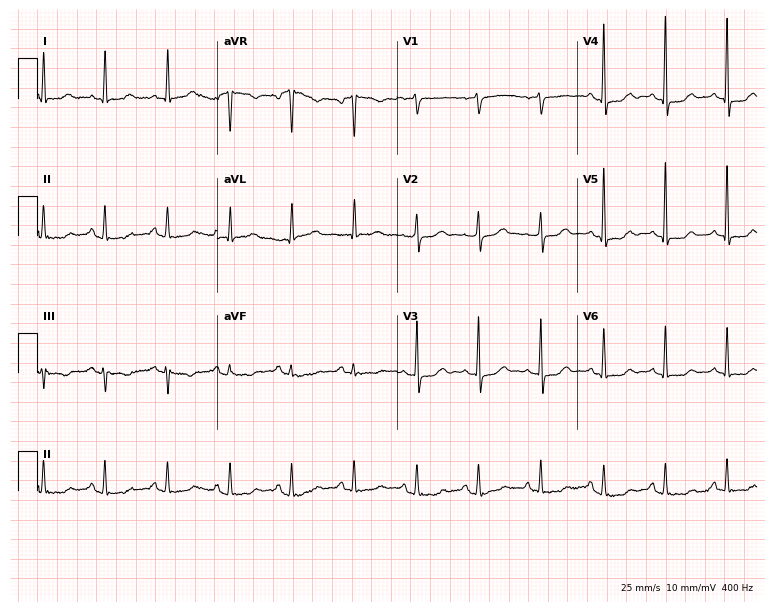
12-lead ECG (7.3-second recording at 400 Hz) from a woman, 68 years old. Labelled as a normal ECG.